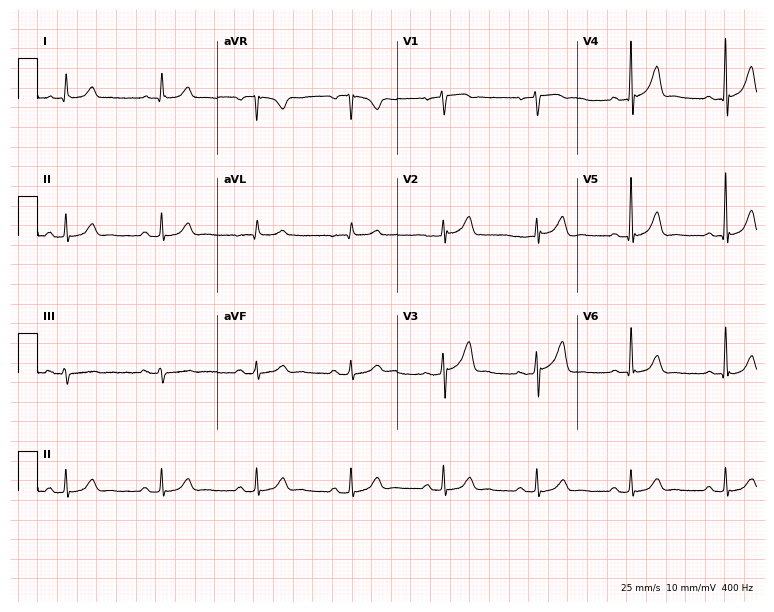
Standard 12-lead ECG recorded from a man, 72 years old. Read as a normal ECG.